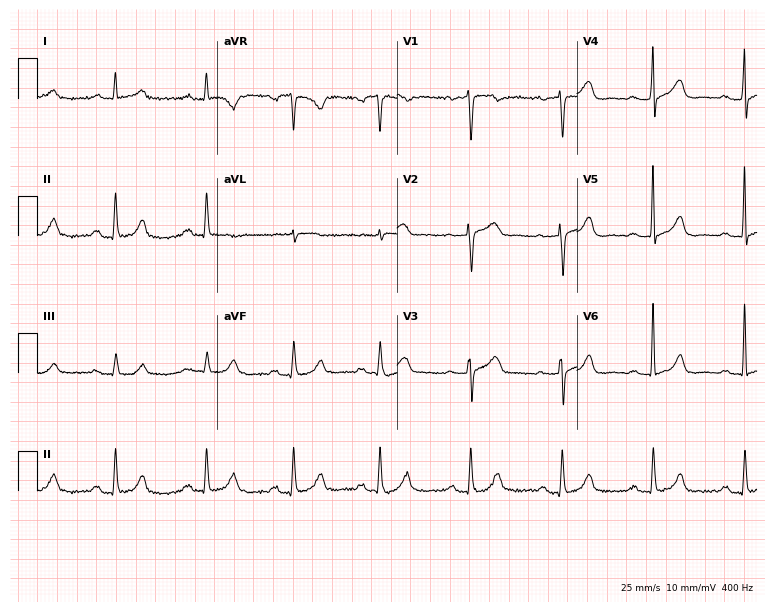
Resting 12-lead electrocardiogram. Patient: a 61-year-old female. None of these six findings is recorded: first-degree AV block, right bundle branch block, left bundle branch block, sinus bradycardia, atrial fibrillation, sinus tachycardia. Findings outside these six are not listed.